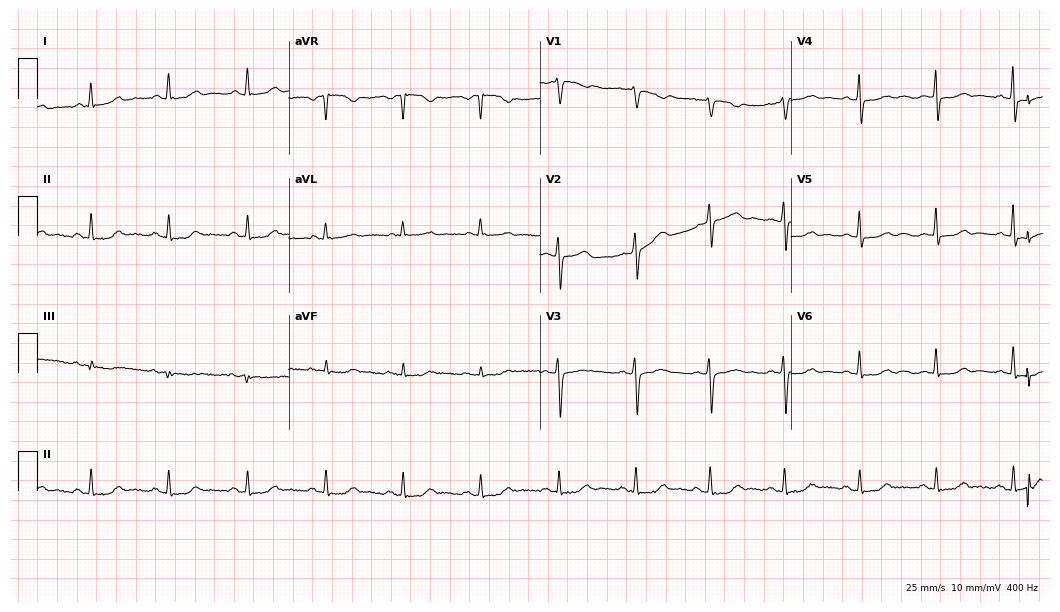
Resting 12-lead electrocardiogram. Patient: a female, 60 years old. None of these six findings is recorded: first-degree AV block, right bundle branch block, left bundle branch block, sinus bradycardia, atrial fibrillation, sinus tachycardia. Other findings, if any, are not listed.